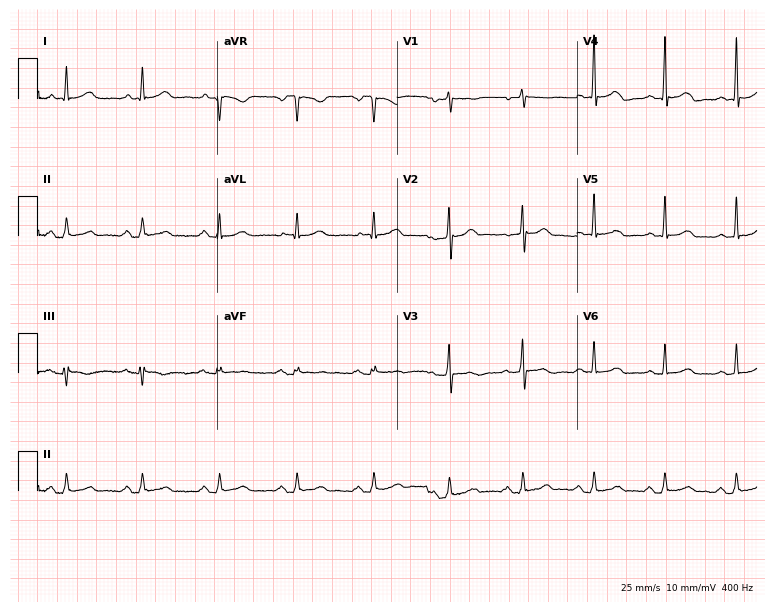
Electrocardiogram, a 64-year-old man. Overall reading on record: normal ECG.